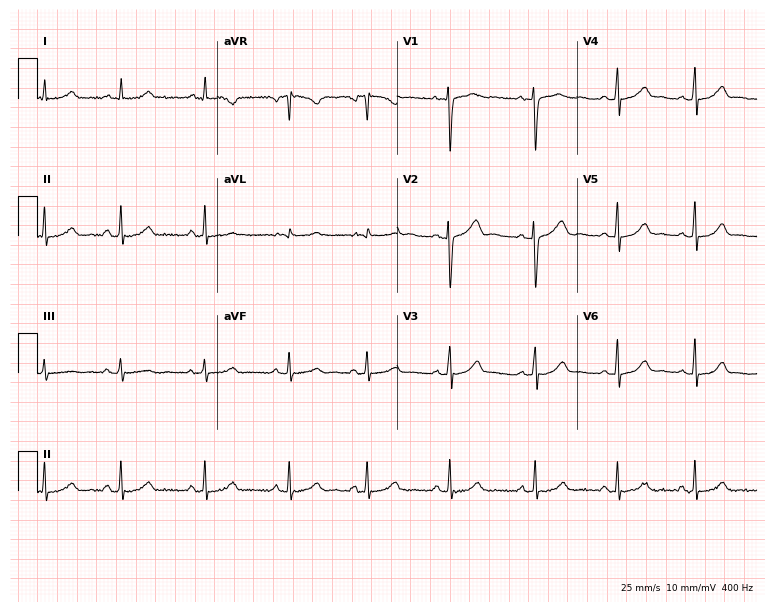
Standard 12-lead ECG recorded from a woman, 30 years old (7.3-second recording at 400 Hz). Read as a normal ECG.